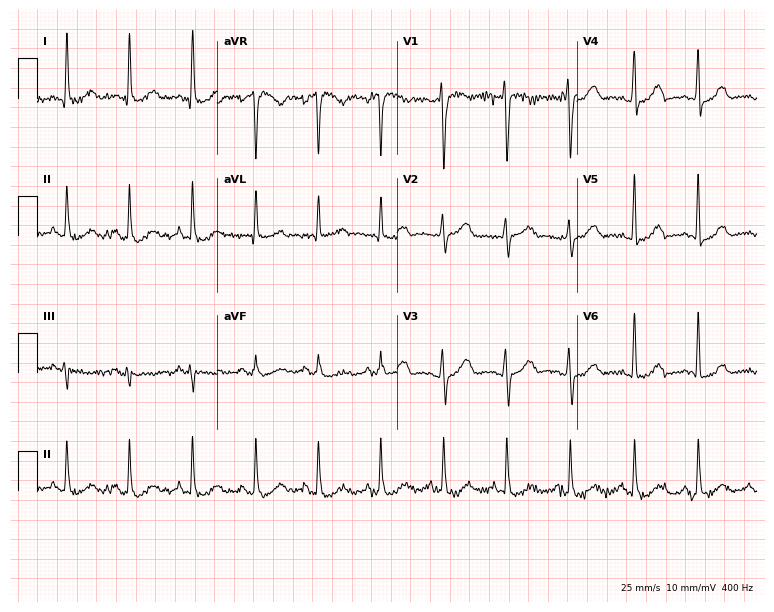
Standard 12-lead ECG recorded from a woman, 55 years old. Read as a normal ECG.